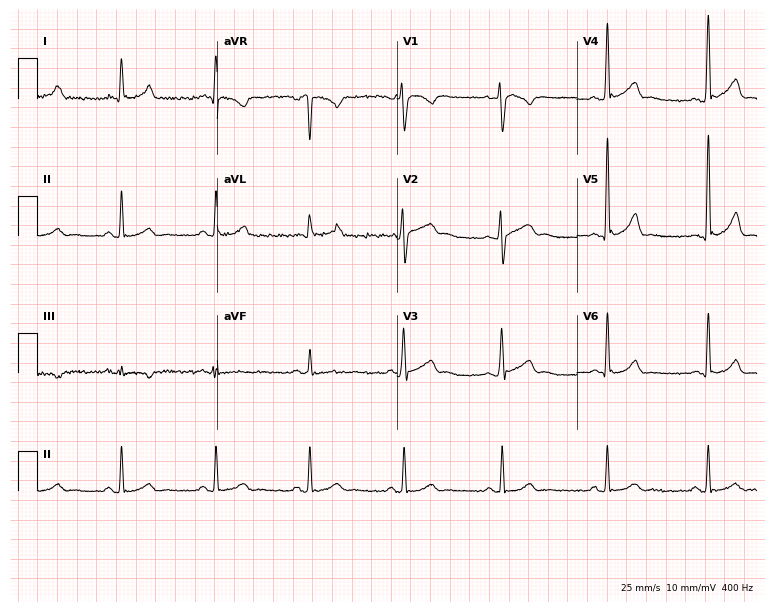
Resting 12-lead electrocardiogram. Patient: a 40-year-old male. Read as a normal ECG.